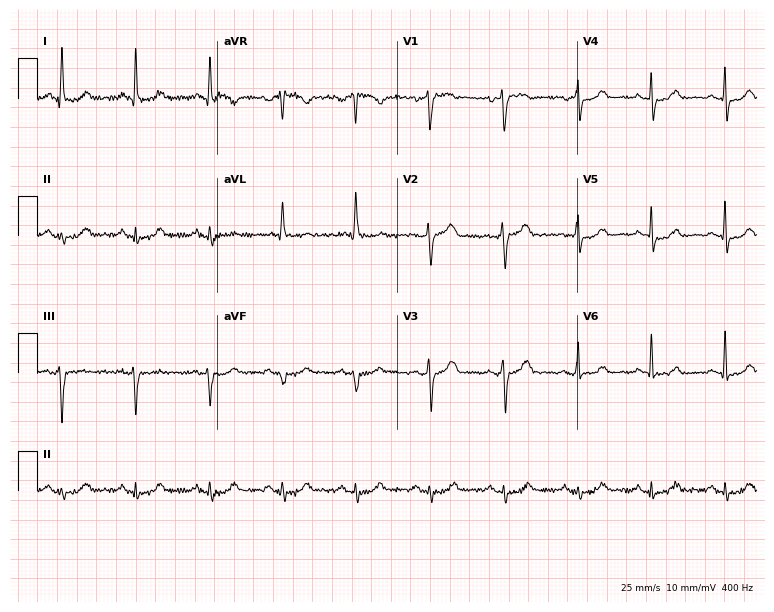
12-lead ECG from a 57-year-old female. Recorded interpretation: within normal limits.